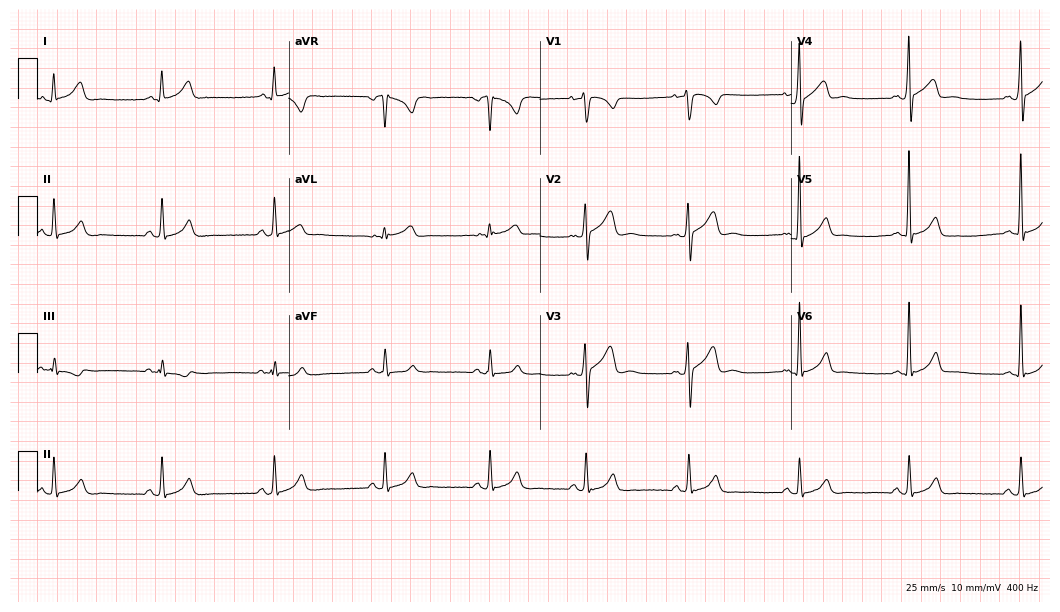
Electrocardiogram, a 23-year-old man. Overall reading on record: normal ECG.